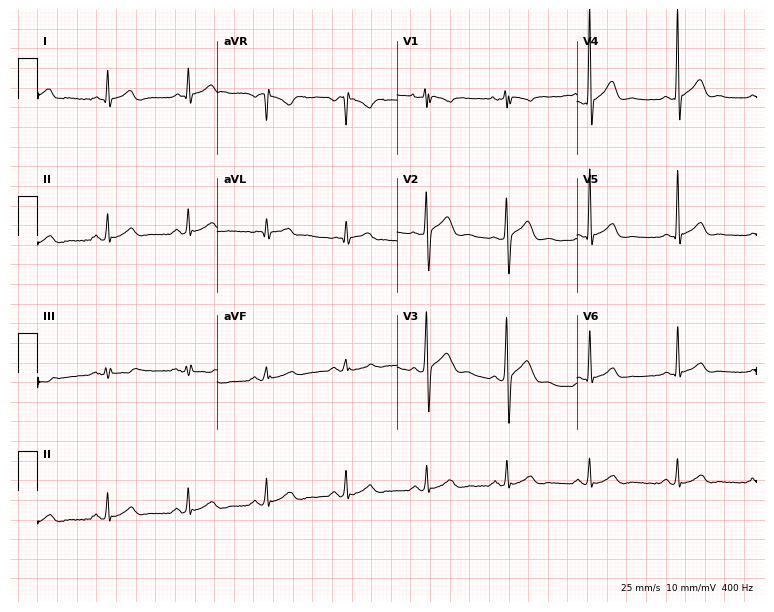
12-lead ECG (7.3-second recording at 400 Hz) from a man, 41 years old. Screened for six findings — first-degree AV block, right bundle branch block, left bundle branch block, sinus bradycardia, atrial fibrillation, sinus tachycardia — none is recorded. Other findings, if any, are not listed.